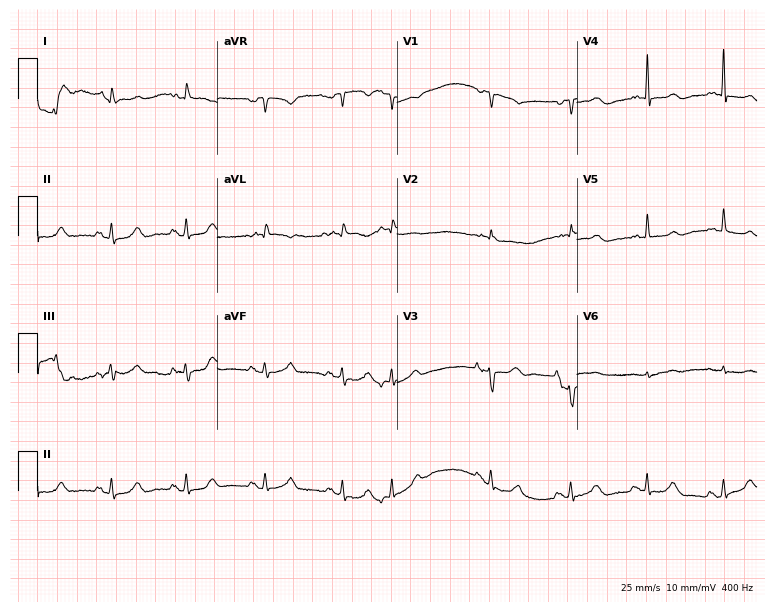
12-lead ECG from a 79-year-old female. No first-degree AV block, right bundle branch block (RBBB), left bundle branch block (LBBB), sinus bradycardia, atrial fibrillation (AF) or sinus tachycardia recorded for this tracing.